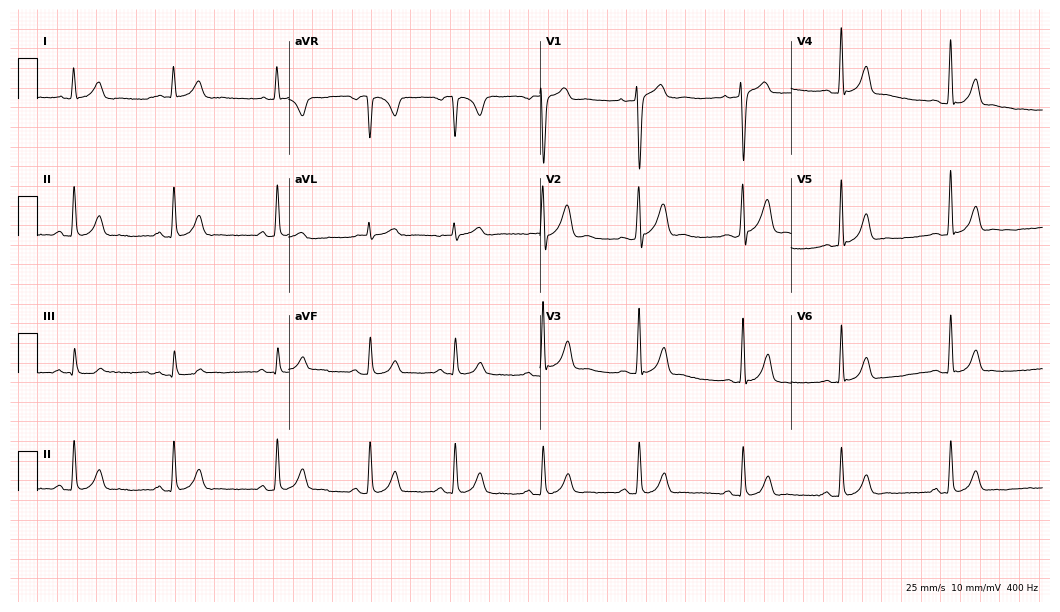
12-lead ECG from a 22-year-old male patient (10.2-second recording at 400 Hz). Recorded interpretation: within normal limits.